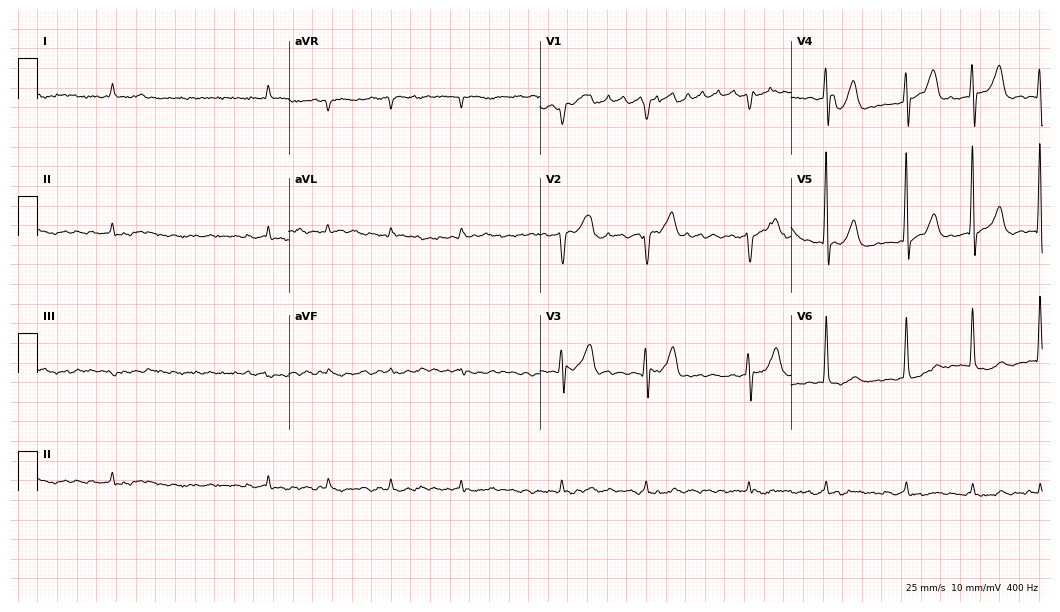
Resting 12-lead electrocardiogram. Patient: a 73-year-old male. The tracing shows atrial fibrillation (AF).